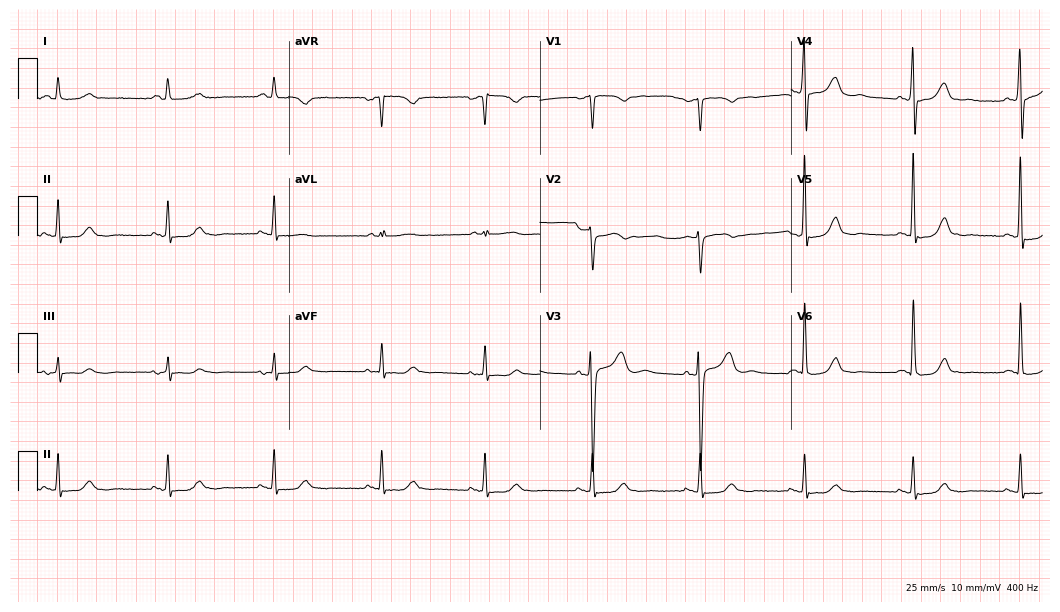
Standard 12-lead ECG recorded from a male patient, 52 years old. None of these six findings is recorded: first-degree AV block, right bundle branch block, left bundle branch block, sinus bradycardia, atrial fibrillation, sinus tachycardia. Findings outside these six are not listed.